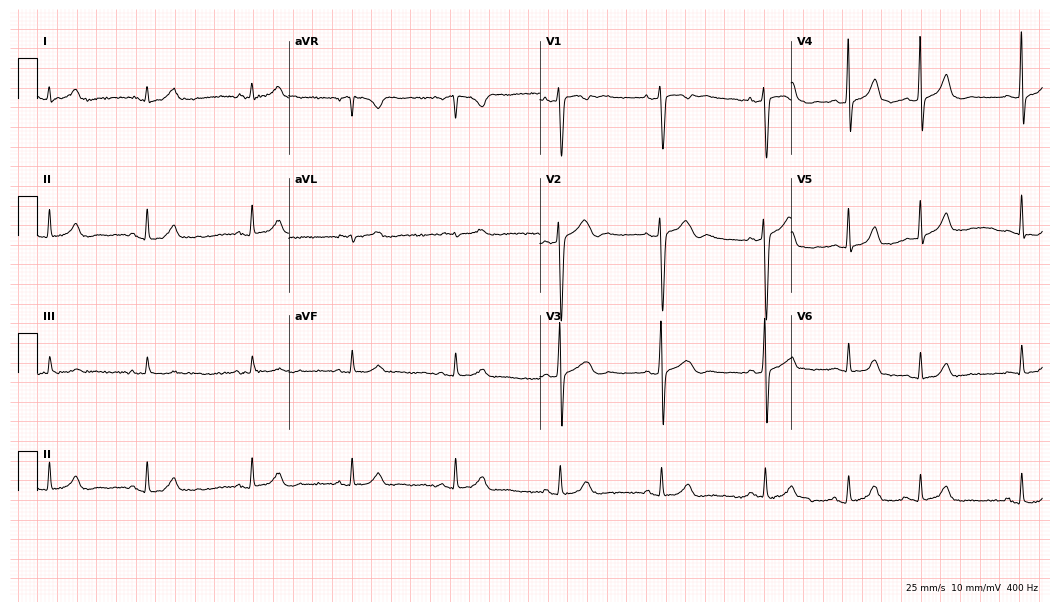
12-lead ECG from a 39-year-old woman. Recorded interpretation: within normal limits.